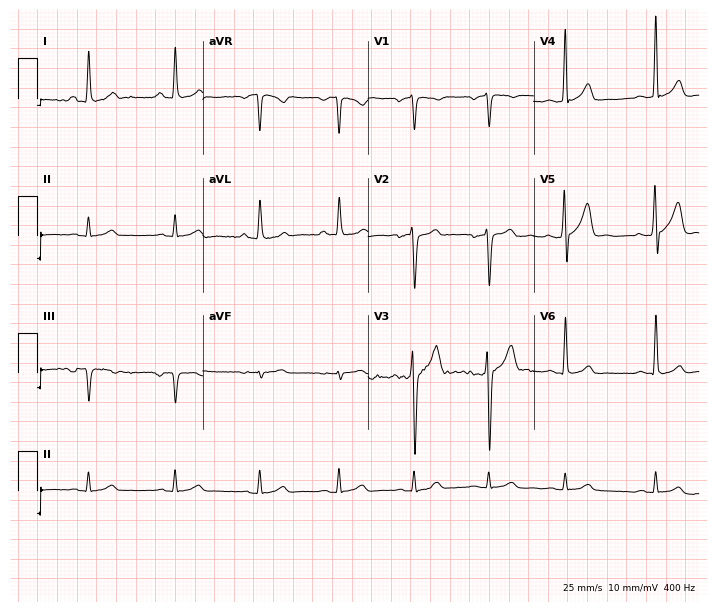
ECG — a 29-year-old male. Labelled as a normal ECG.